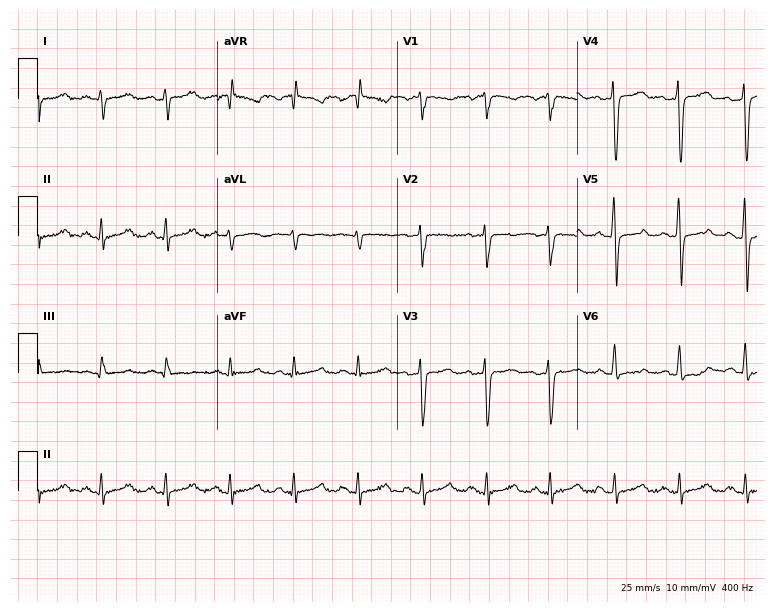
12-lead ECG from a 50-year-old female patient. Labelled as a normal ECG.